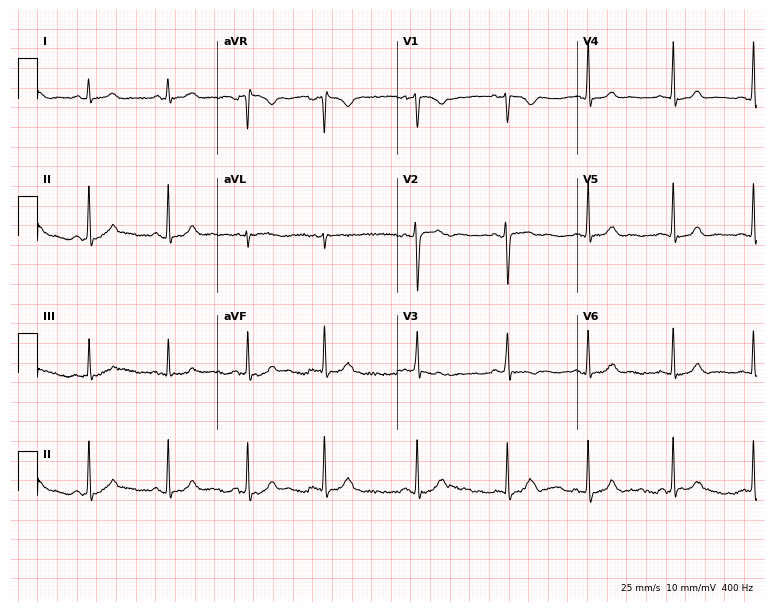
ECG (7.3-second recording at 400 Hz) — a female patient, 22 years old. Labelled as a normal ECG.